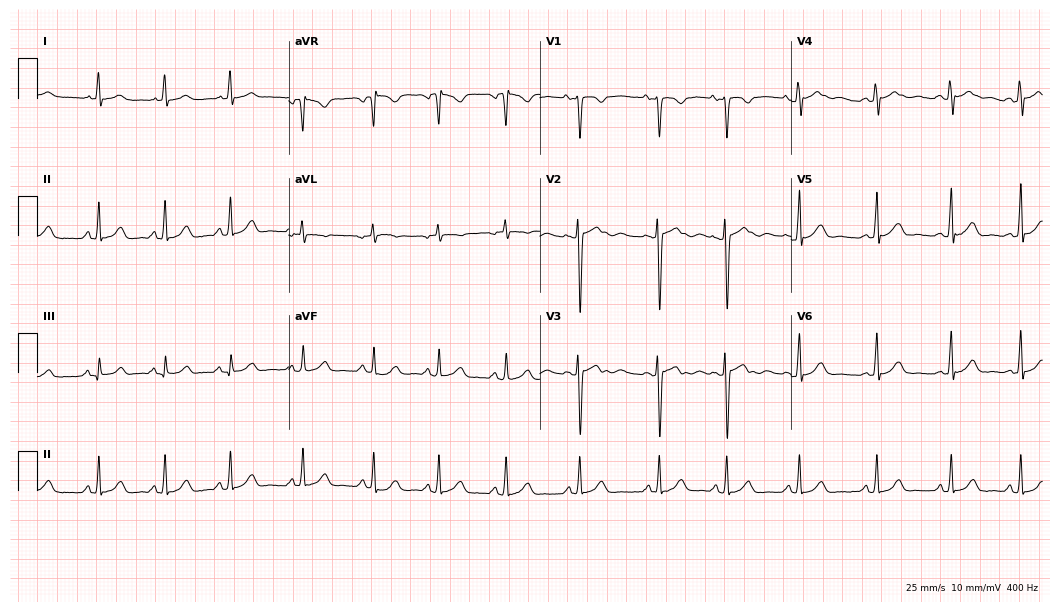
Electrocardiogram, a 17-year-old female. Overall reading on record: normal ECG.